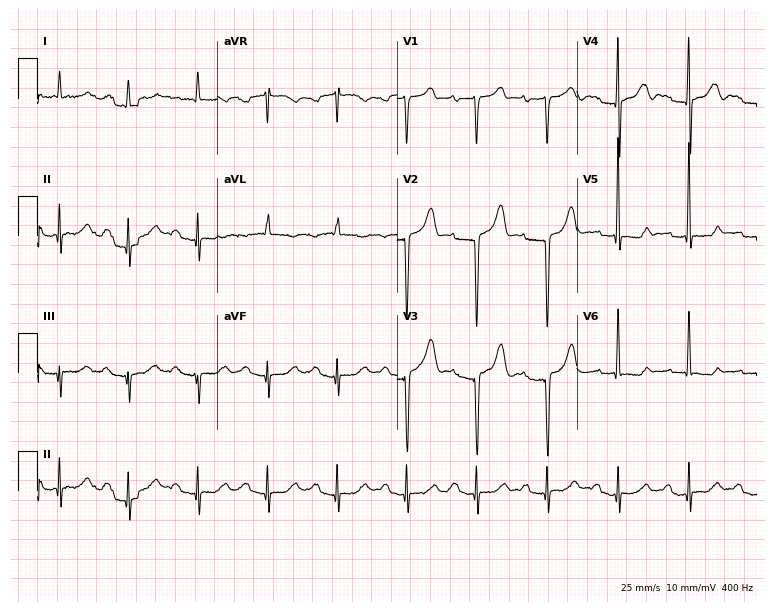
ECG — a male patient, 74 years old. Findings include first-degree AV block.